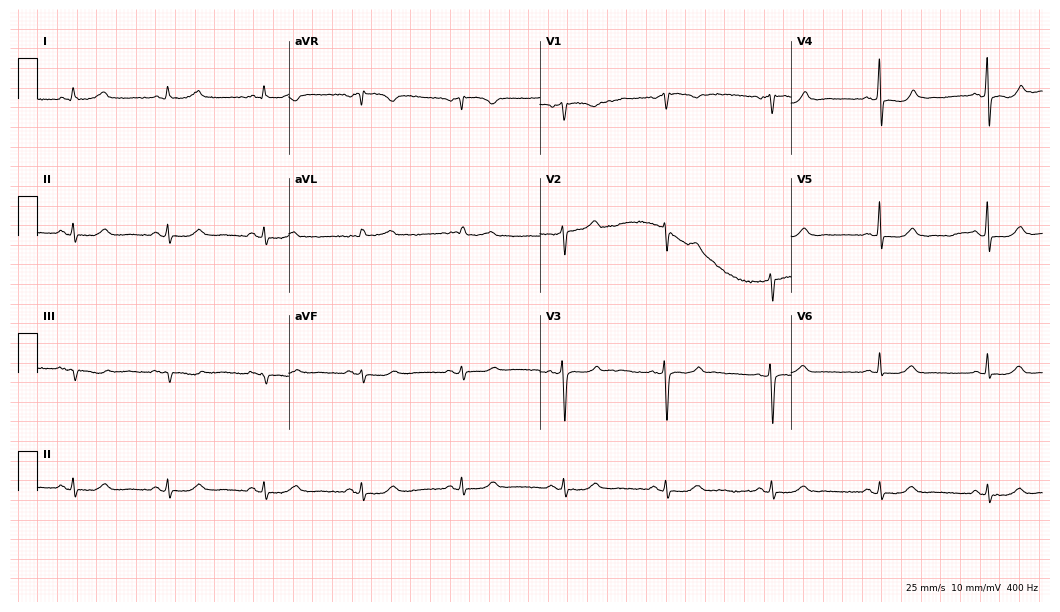
Electrocardiogram (10.2-second recording at 400 Hz), a female, 65 years old. Overall reading on record: normal ECG.